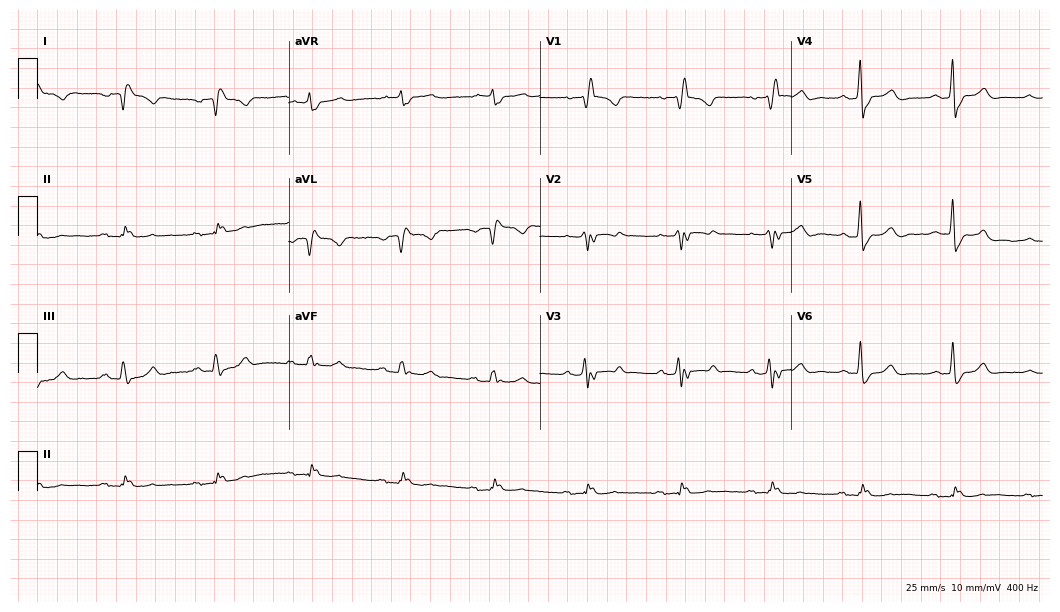
12-lead ECG from a 75-year-old male (10.2-second recording at 400 Hz). No first-degree AV block, right bundle branch block (RBBB), left bundle branch block (LBBB), sinus bradycardia, atrial fibrillation (AF) or sinus tachycardia recorded for this tracing.